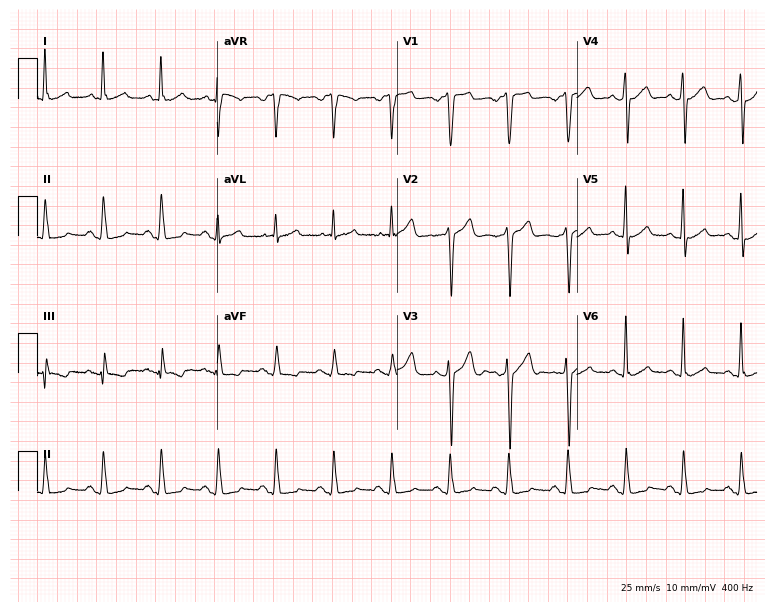
12-lead ECG from a 52-year-old male (7.3-second recording at 400 Hz). Shows sinus tachycardia (a sinus rate of 100 beats per minute or more).